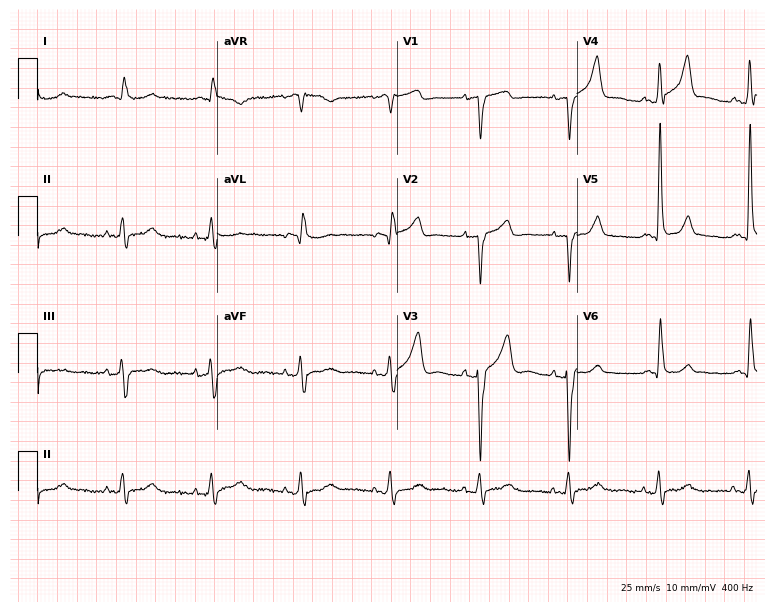
12-lead ECG from a male patient, 61 years old. Labelled as a normal ECG.